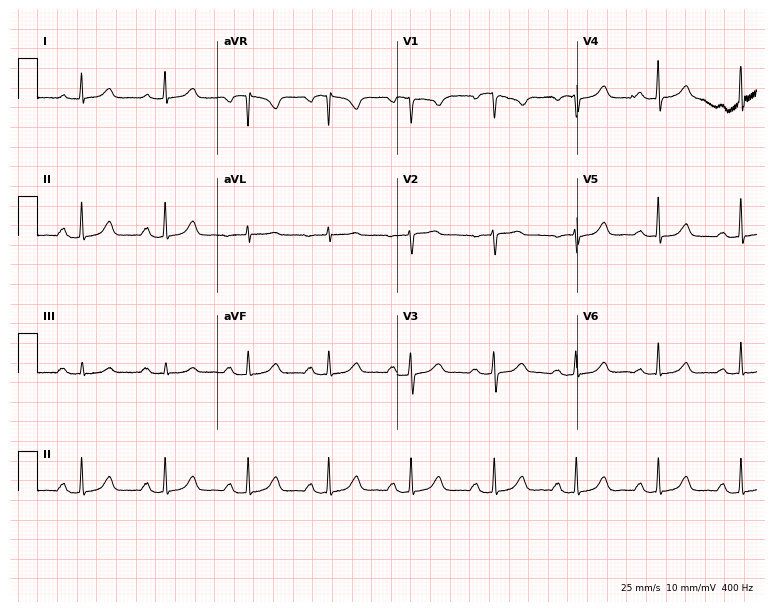
Electrocardiogram, a female, 58 years old. Interpretation includes first-degree AV block.